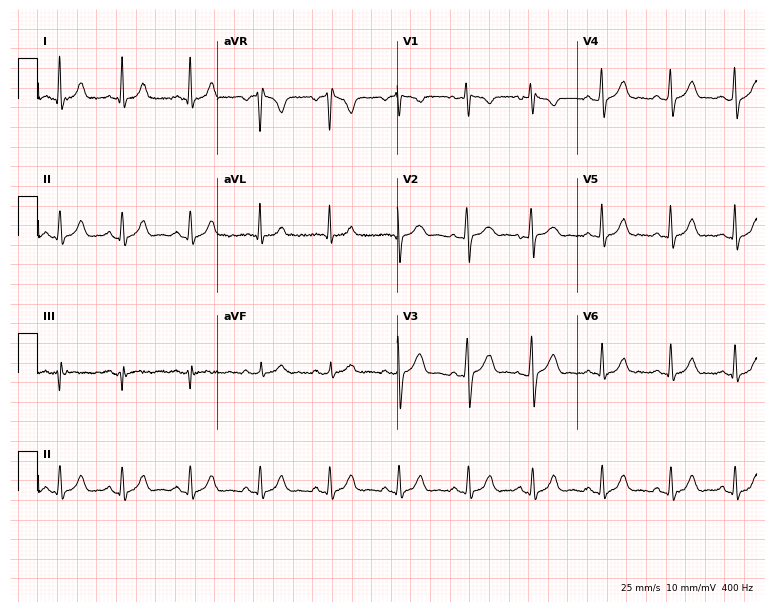
12-lead ECG (7.3-second recording at 400 Hz) from a male patient, 35 years old. Labelled as a normal ECG.